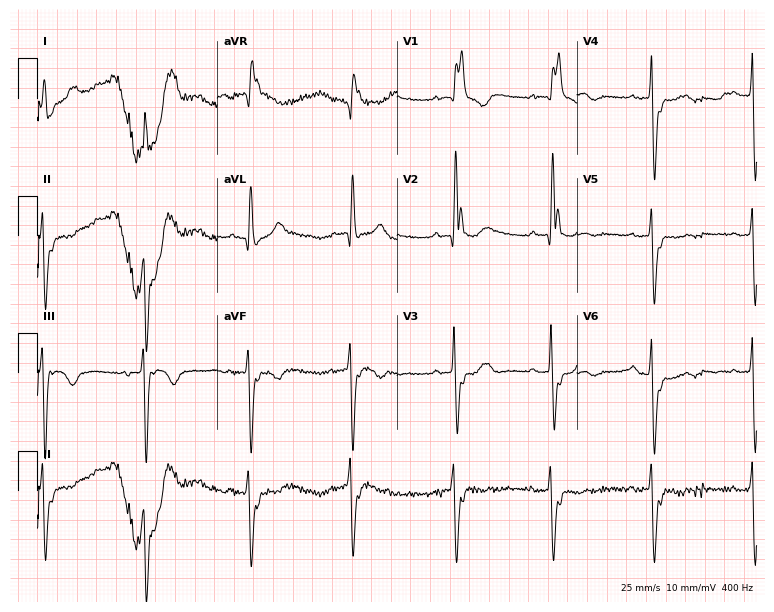
12-lead ECG from a man, 75 years old. No first-degree AV block, right bundle branch block, left bundle branch block, sinus bradycardia, atrial fibrillation or sinus tachycardia recorded for this tracing. Other findings, if any, are not listed.